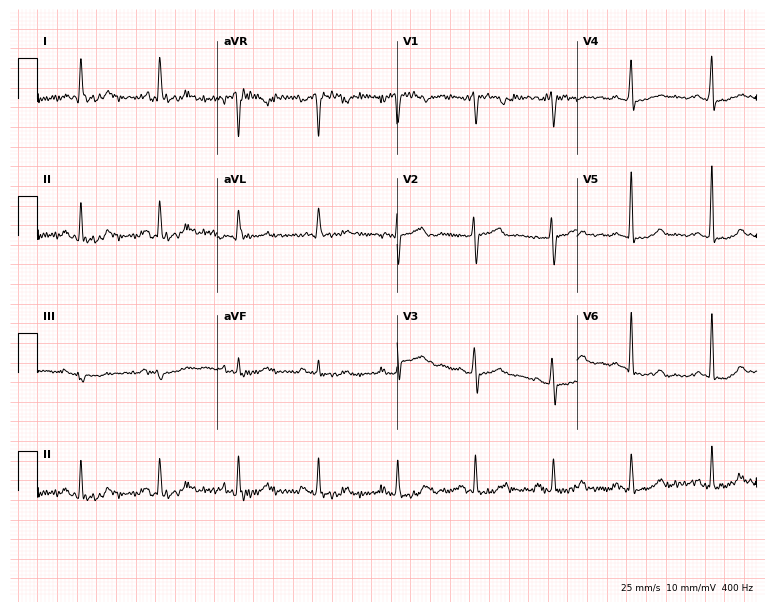
12-lead ECG from a 55-year-old female. Screened for six findings — first-degree AV block, right bundle branch block, left bundle branch block, sinus bradycardia, atrial fibrillation, sinus tachycardia — none is recorded. Findings outside these six are not listed.